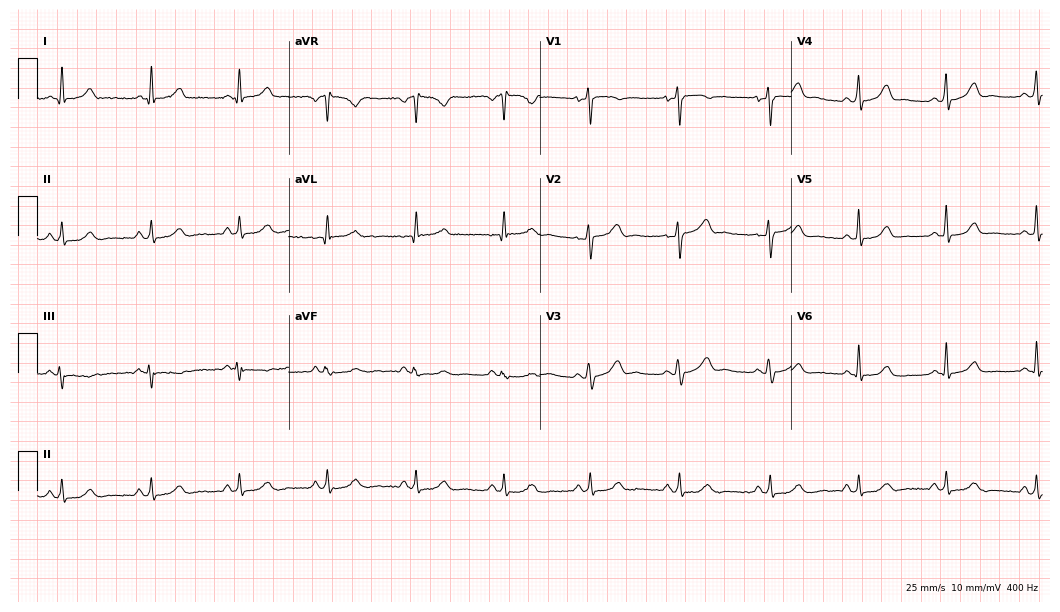
ECG — a woman, 34 years old. Labelled as a normal ECG.